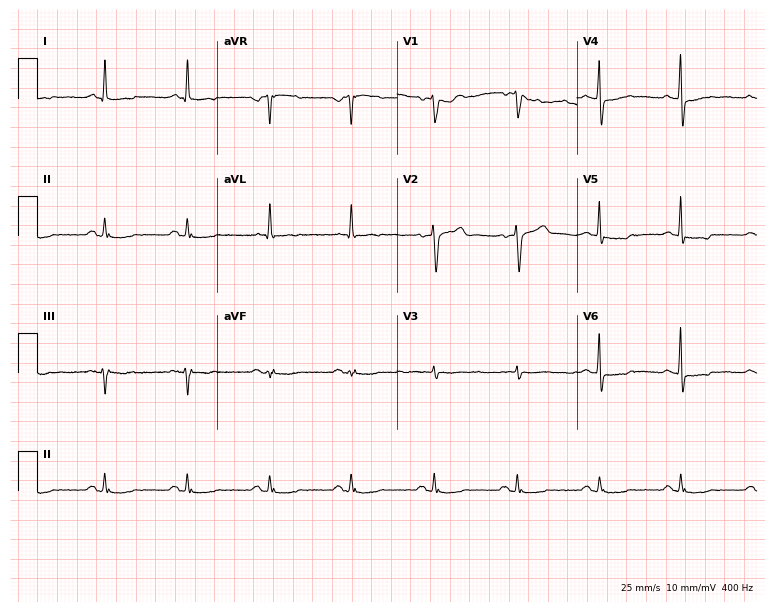
Electrocardiogram, a female, 69 years old. Of the six screened findings (first-degree AV block, right bundle branch block, left bundle branch block, sinus bradycardia, atrial fibrillation, sinus tachycardia), none is recorded.